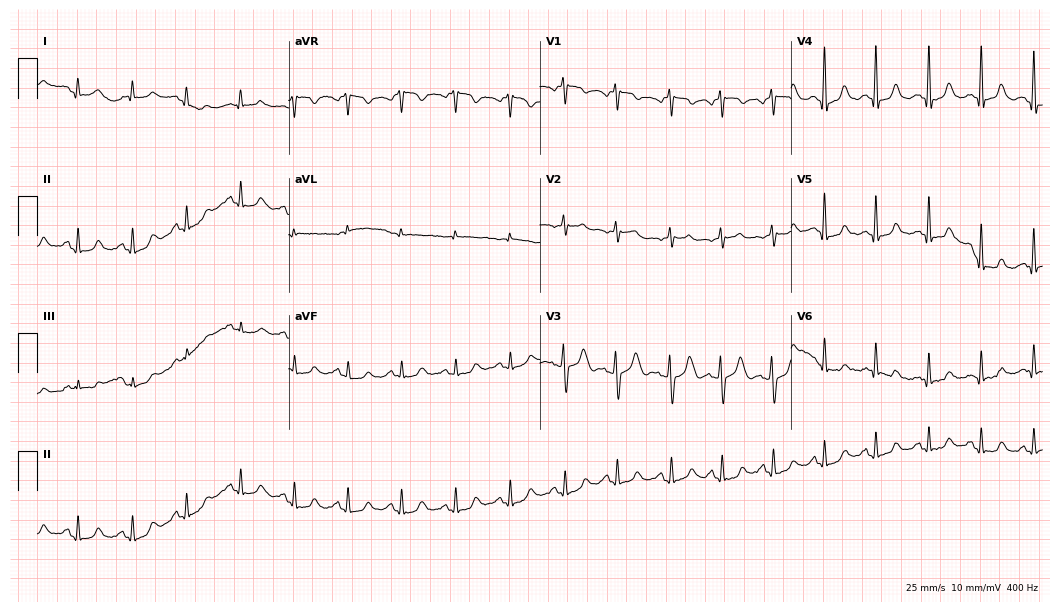
Resting 12-lead electrocardiogram (10.2-second recording at 400 Hz). Patient: a 56-year-old female. The tracing shows sinus tachycardia (a sinus rate of 100 beats per minute or more).